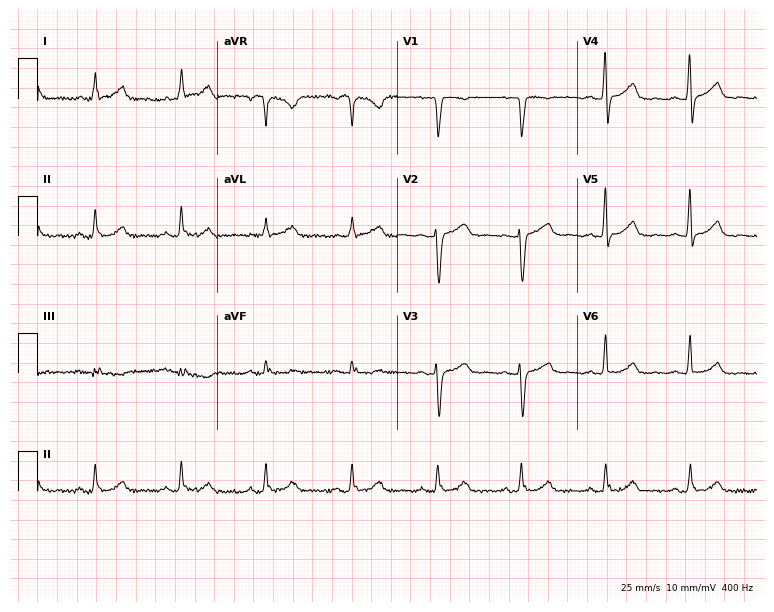
12-lead ECG (7.3-second recording at 400 Hz) from a female, 47 years old. Labelled as a normal ECG.